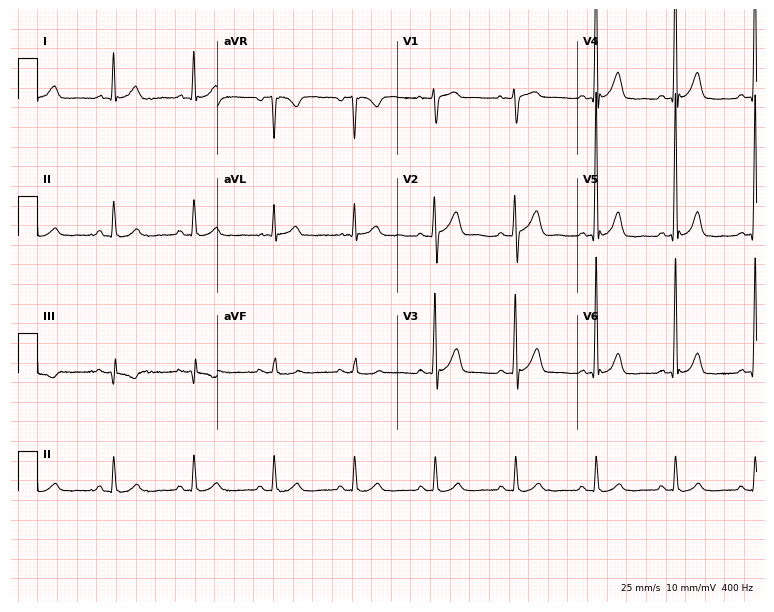
12-lead ECG (7.3-second recording at 400 Hz) from a 66-year-old man. Labelled as a normal ECG.